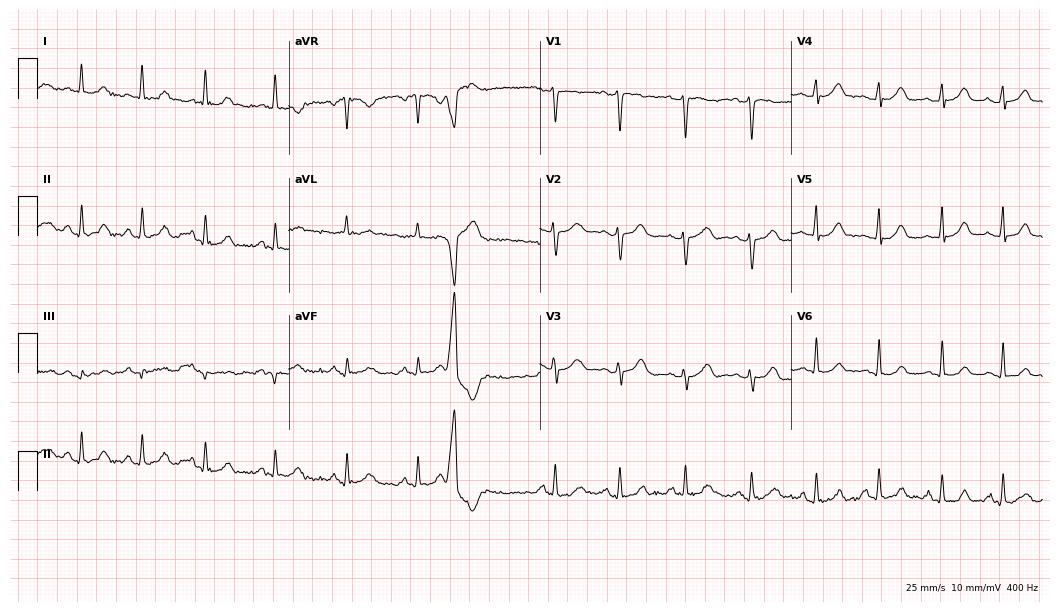
ECG (10.2-second recording at 400 Hz) — a 56-year-old female. Labelled as a normal ECG.